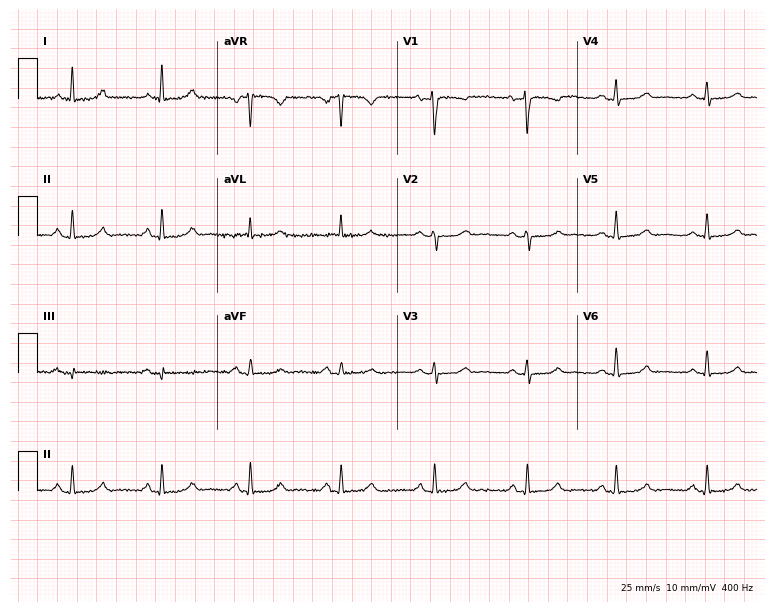
ECG (7.3-second recording at 400 Hz) — a 47-year-old woman. Screened for six findings — first-degree AV block, right bundle branch block (RBBB), left bundle branch block (LBBB), sinus bradycardia, atrial fibrillation (AF), sinus tachycardia — none is recorded.